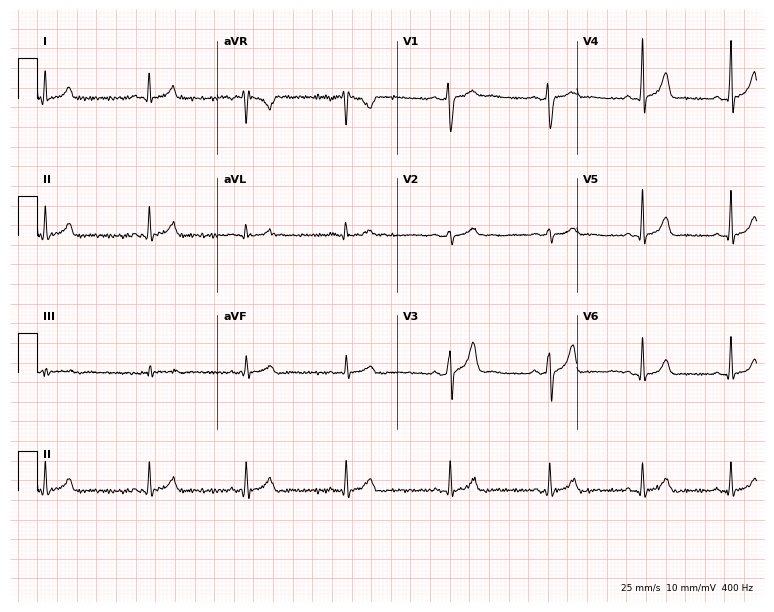
Resting 12-lead electrocardiogram (7.3-second recording at 400 Hz). Patient: a man, 25 years old. Read as a normal ECG.